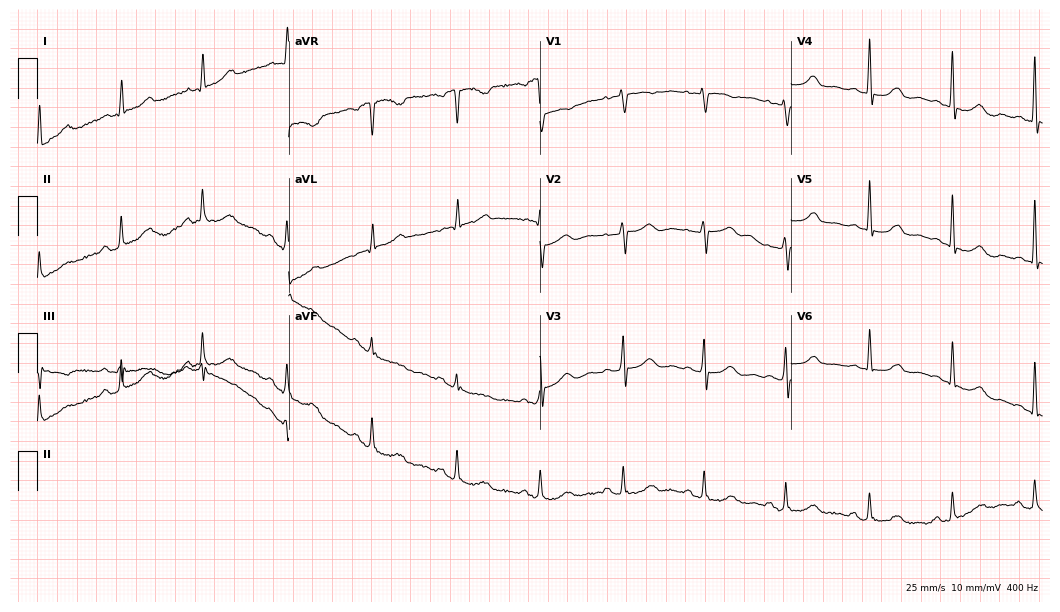
12-lead ECG from a female patient, 57 years old. Recorded interpretation: within normal limits.